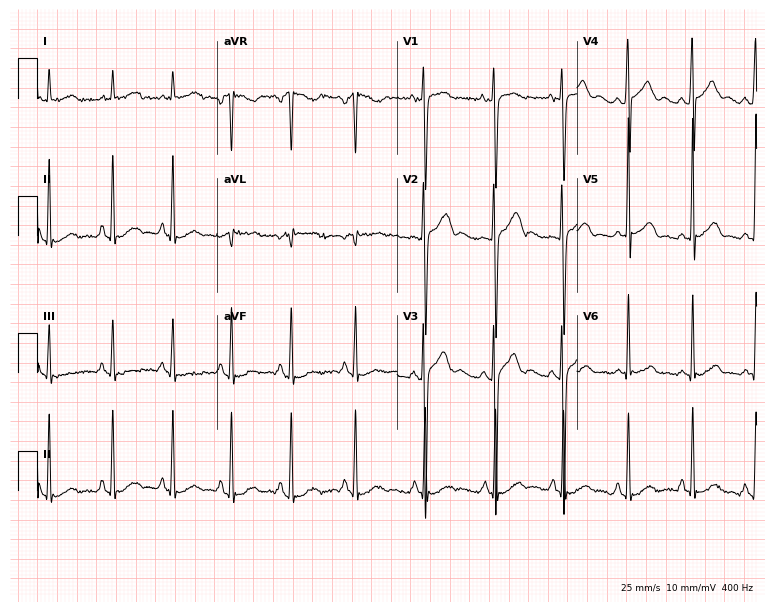
12-lead ECG from a 19-year-old male patient. Screened for six findings — first-degree AV block, right bundle branch block, left bundle branch block, sinus bradycardia, atrial fibrillation, sinus tachycardia — none is recorded.